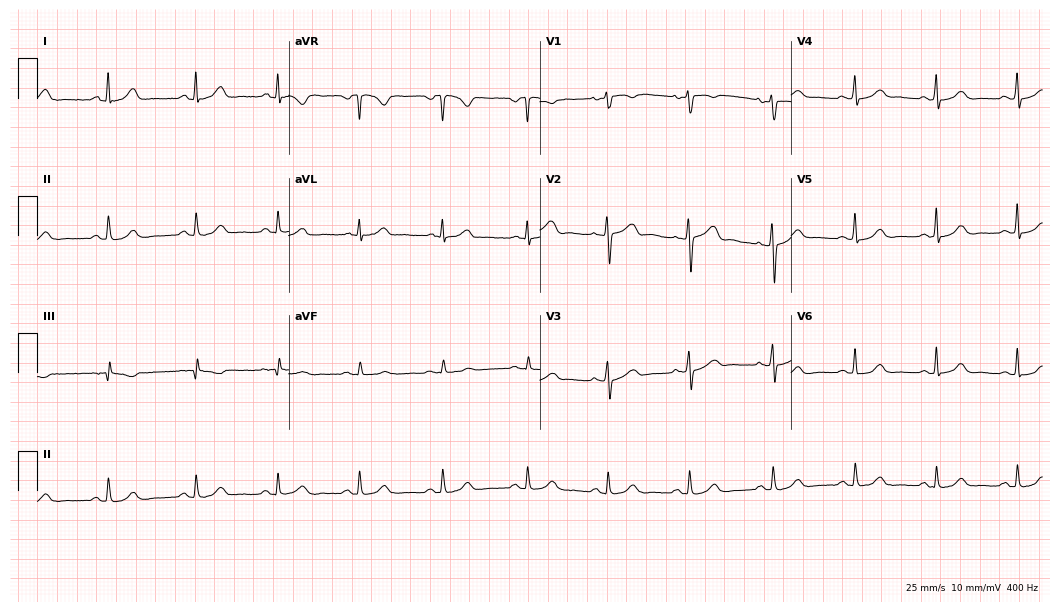
Electrocardiogram (10.2-second recording at 400 Hz), a 44-year-old woman. Overall reading on record: normal ECG.